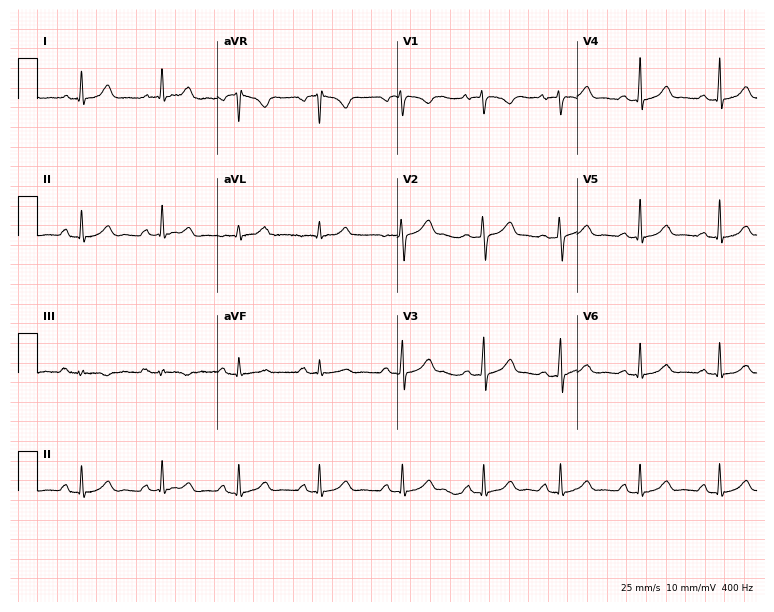
ECG (7.3-second recording at 400 Hz) — a woman, 24 years old. Screened for six findings — first-degree AV block, right bundle branch block, left bundle branch block, sinus bradycardia, atrial fibrillation, sinus tachycardia — none is recorded. Only these six findings were labelled.